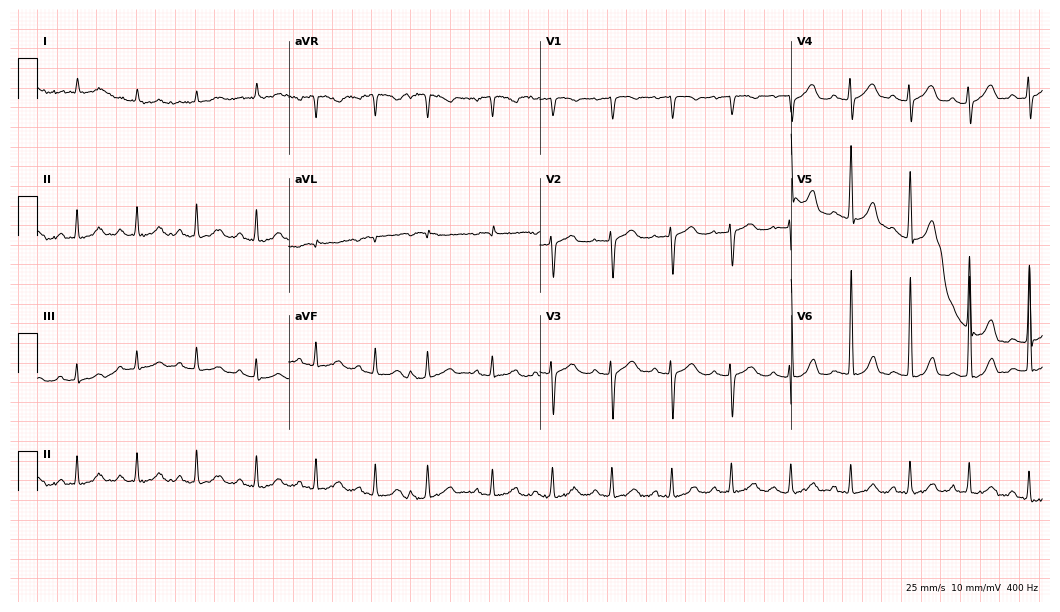
12-lead ECG from a 74-year-old female. No first-degree AV block, right bundle branch block, left bundle branch block, sinus bradycardia, atrial fibrillation or sinus tachycardia recorded for this tracing.